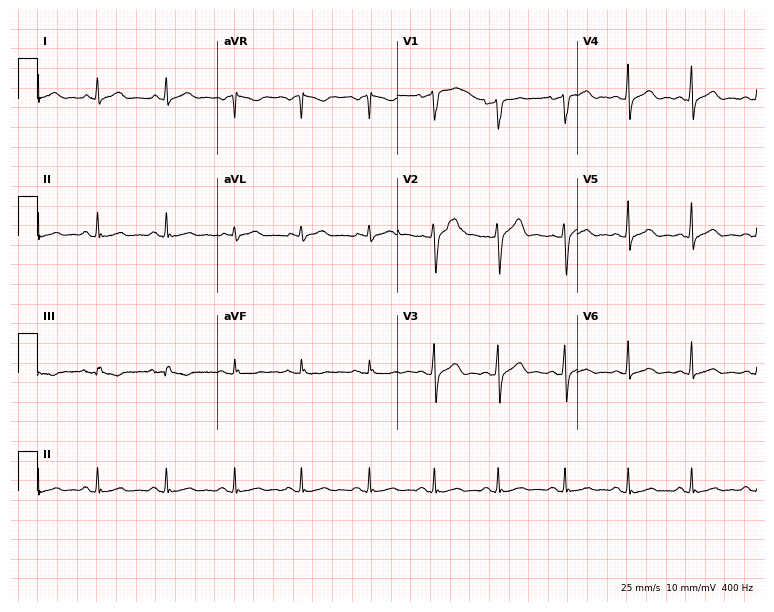
12-lead ECG (7.3-second recording at 400 Hz) from a male patient, 45 years old. Labelled as a normal ECG.